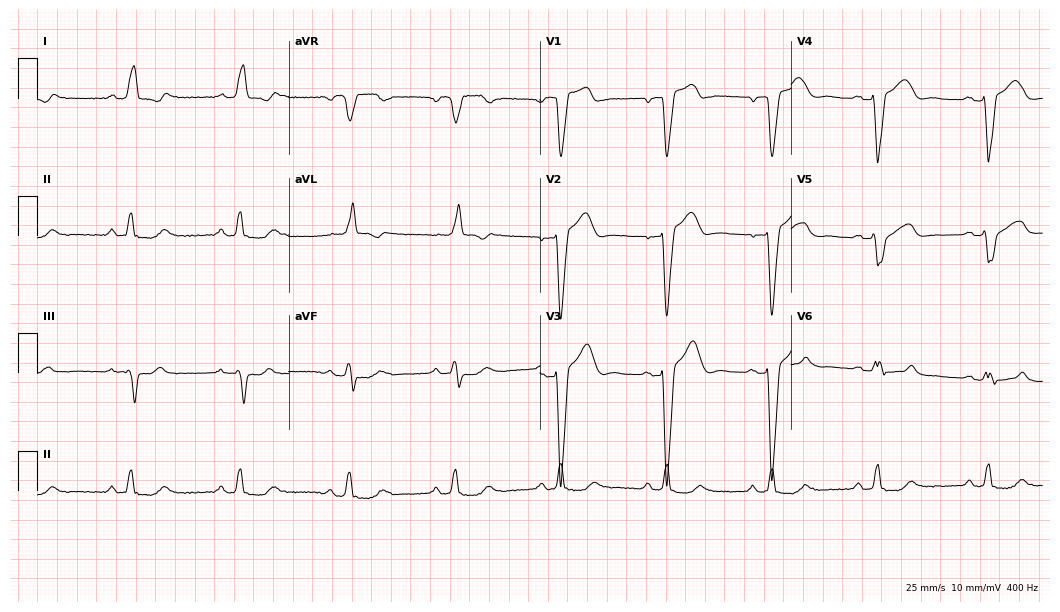
Electrocardiogram (10.2-second recording at 400 Hz), a 58-year-old man. Interpretation includes left bundle branch block, sinus bradycardia (a sinus rate of 50 beats per minute or less).